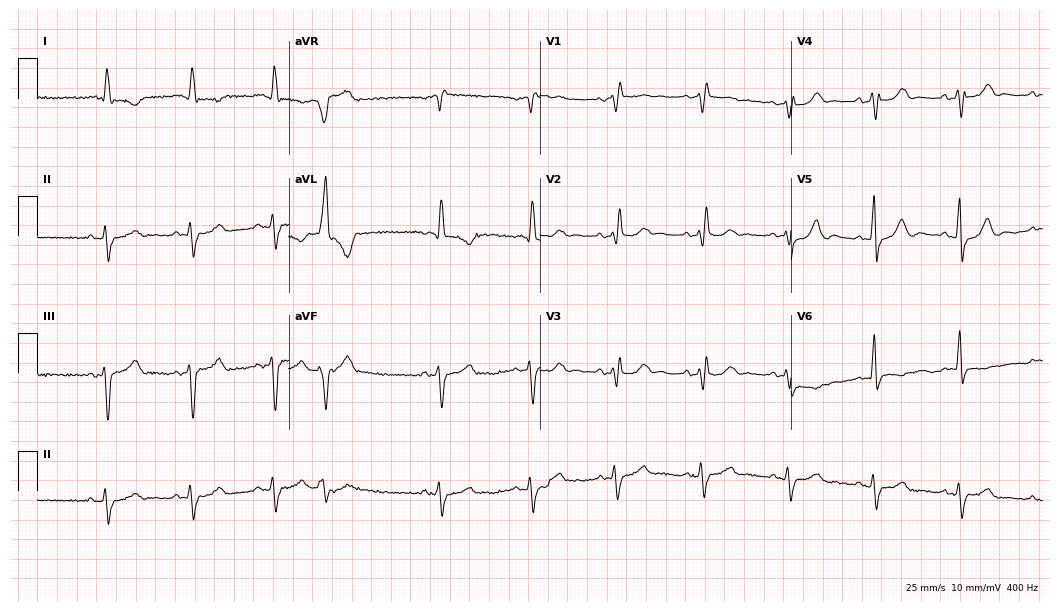
12-lead ECG from a woman, 83 years old (10.2-second recording at 400 Hz). No first-degree AV block, right bundle branch block, left bundle branch block, sinus bradycardia, atrial fibrillation or sinus tachycardia recorded for this tracing.